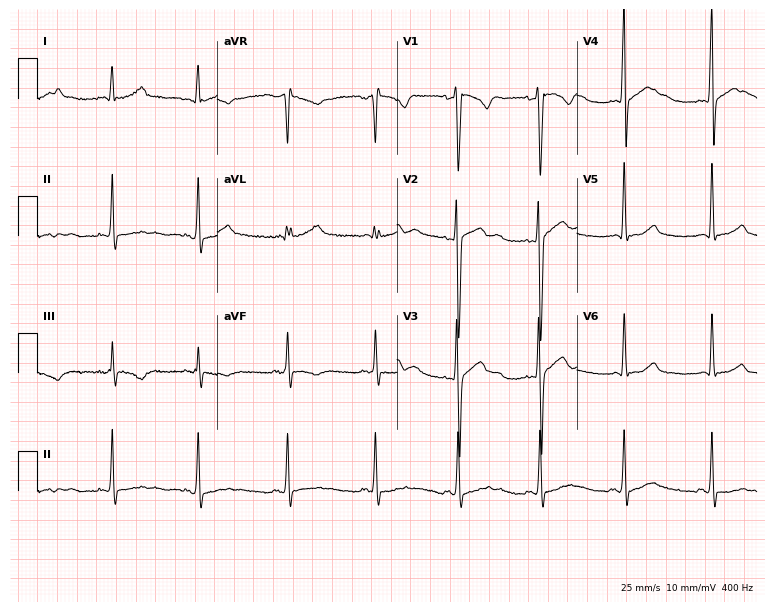
Electrocardiogram (7.3-second recording at 400 Hz), a 20-year-old female patient. Overall reading on record: normal ECG.